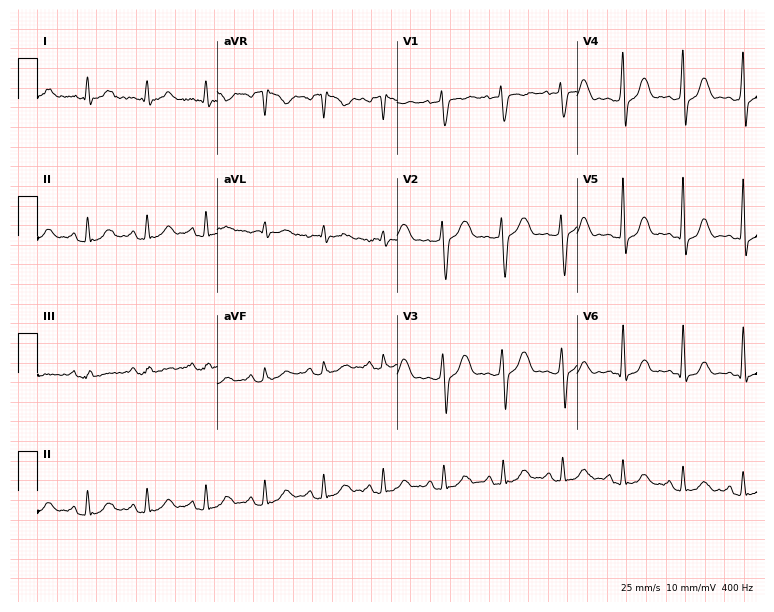
ECG — a 43-year-old male patient. Screened for six findings — first-degree AV block, right bundle branch block (RBBB), left bundle branch block (LBBB), sinus bradycardia, atrial fibrillation (AF), sinus tachycardia — none is recorded.